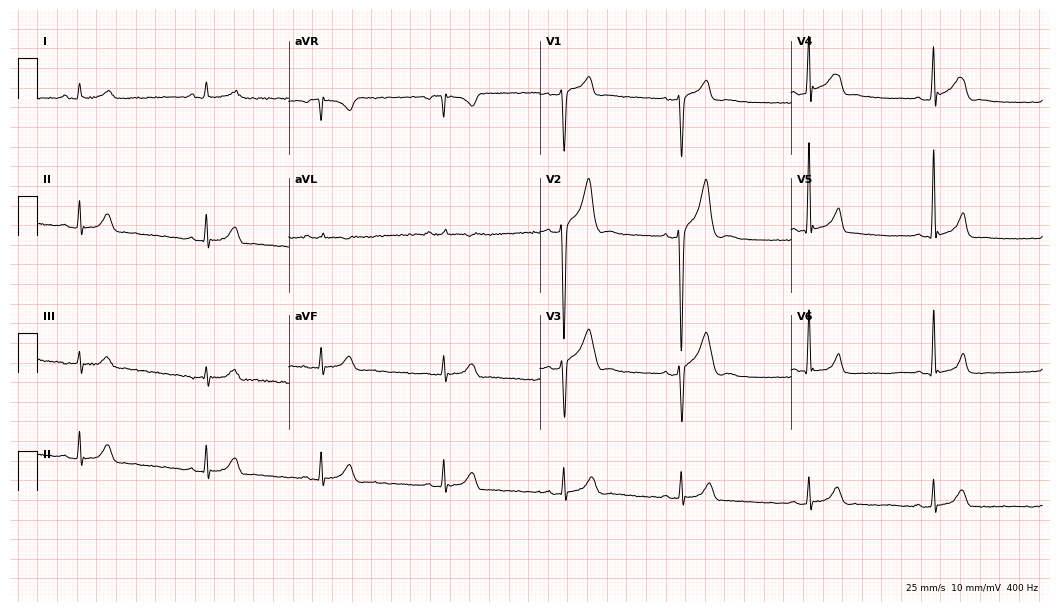
12-lead ECG from a 21-year-old male (10.2-second recording at 400 Hz). Recorded interpretation: within normal limits.